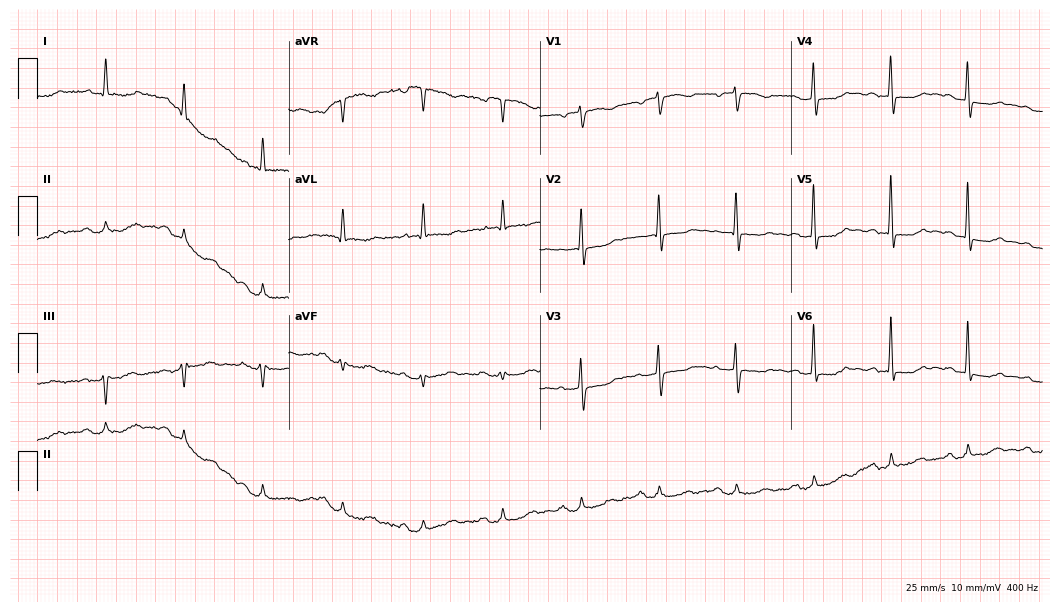
12-lead ECG from a female, 69 years old. No first-degree AV block, right bundle branch block (RBBB), left bundle branch block (LBBB), sinus bradycardia, atrial fibrillation (AF) or sinus tachycardia recorded for this tracing. Other findings, if any, are not listed.